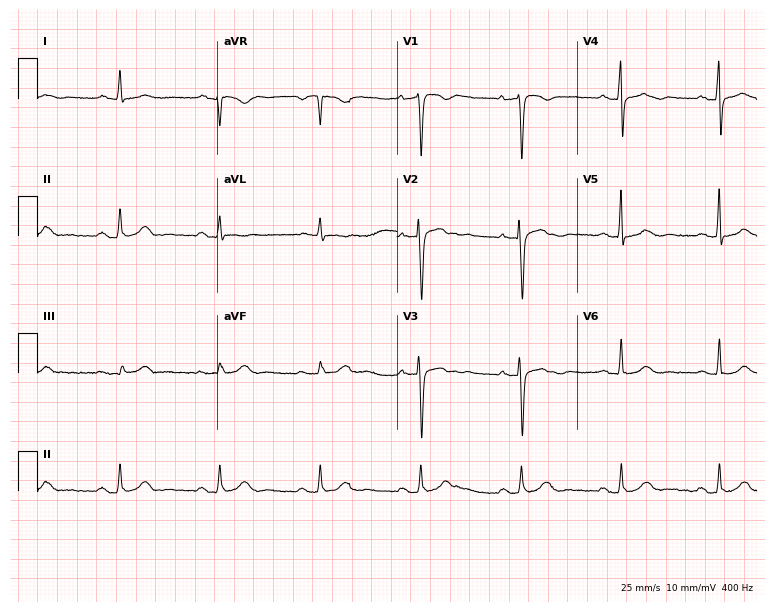
Standard 12-lead ECG recorded from a male, 80 years old (7.3-second recording at 400 Hz). Read as a normal ECG.